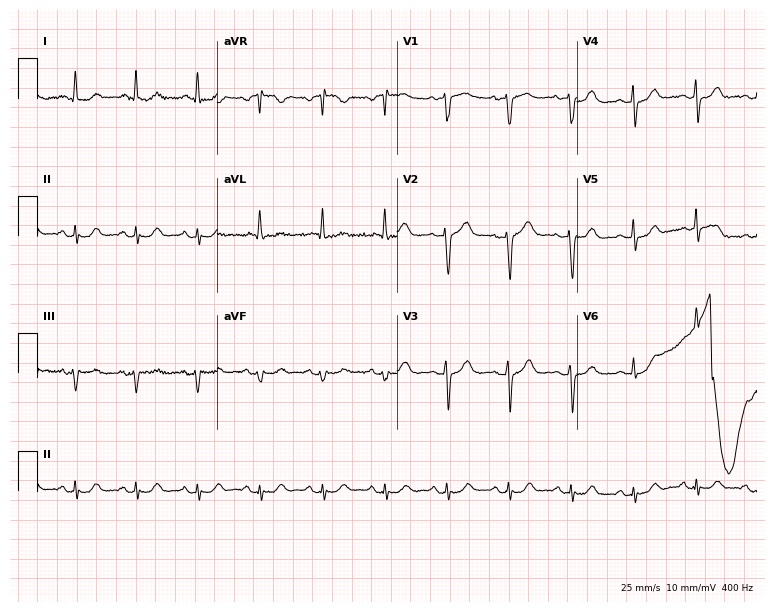
Electrocardiogram, a woman, 74 years old. Overall reading on record: normal ECG.